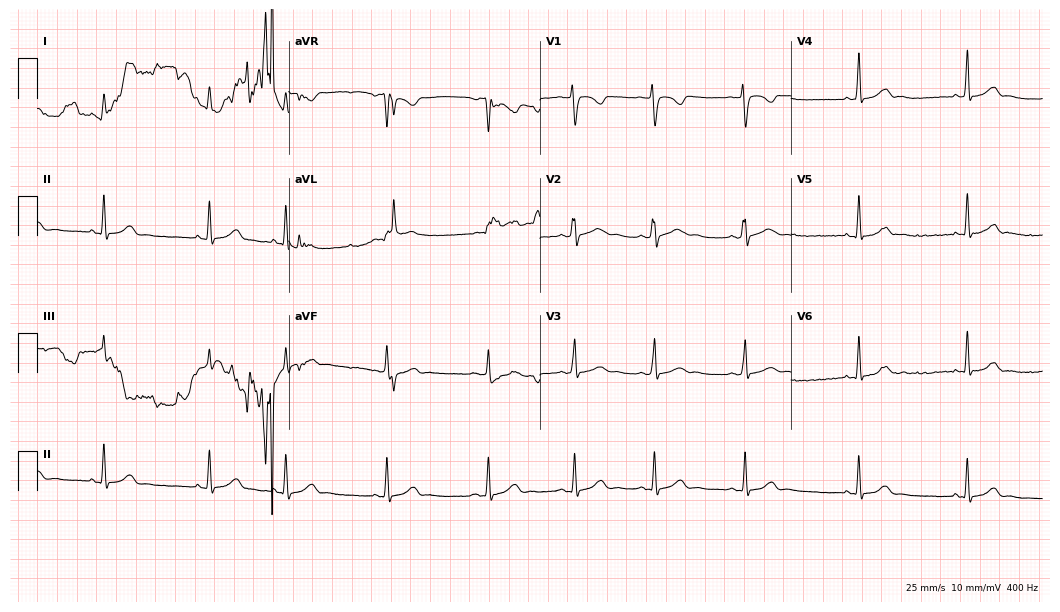
12-lead ECG from a 19-year-old female patient (10.2-second recording at 400 Hz). Recorded interpretation: within normal limits.